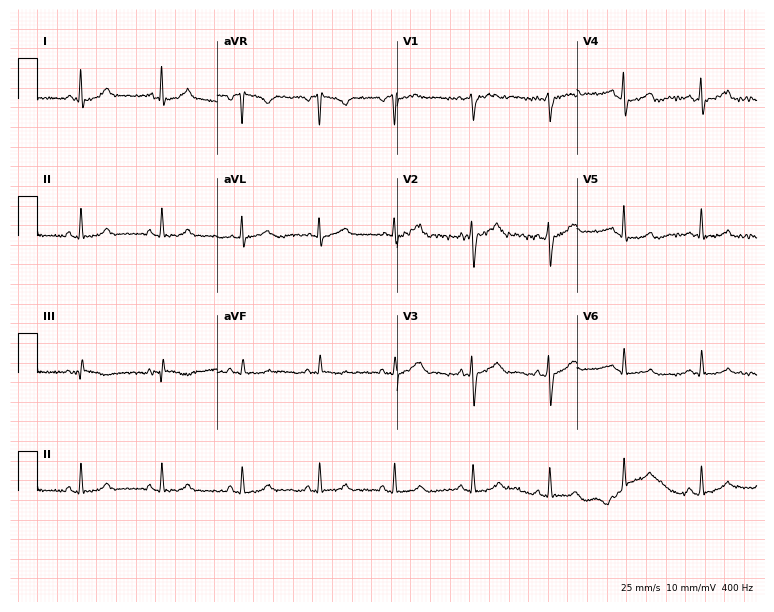
Resting 12-lead electrocardiogram. Patient: a 20-year-old female. Read as a normal ECG.